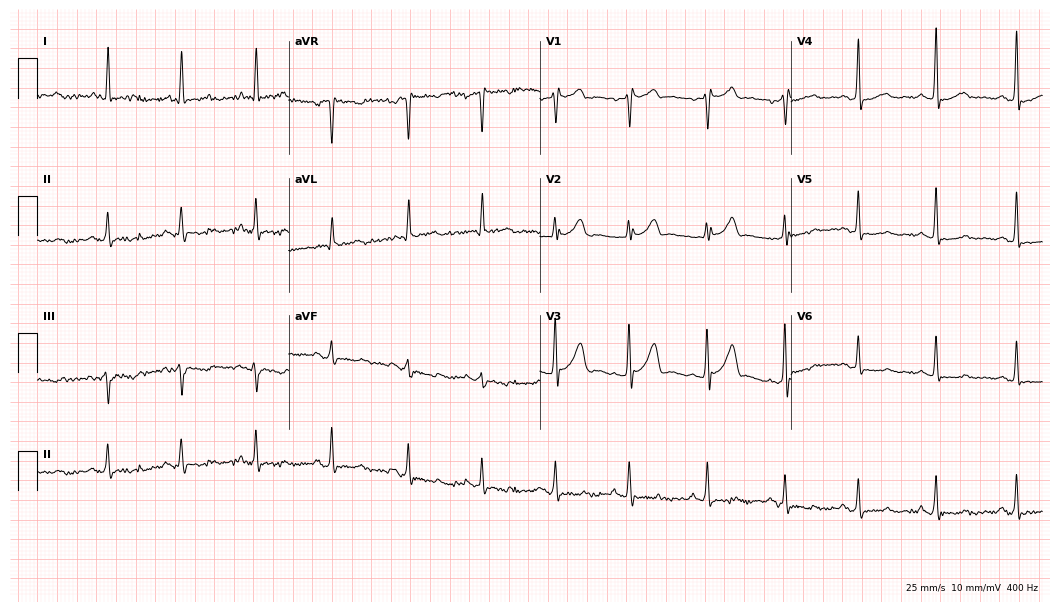
Resting 12-lead electrocardiogram (10.2-second recording at 400 Hz). Patient: a 56-year-old male. Read as a normal ECG.